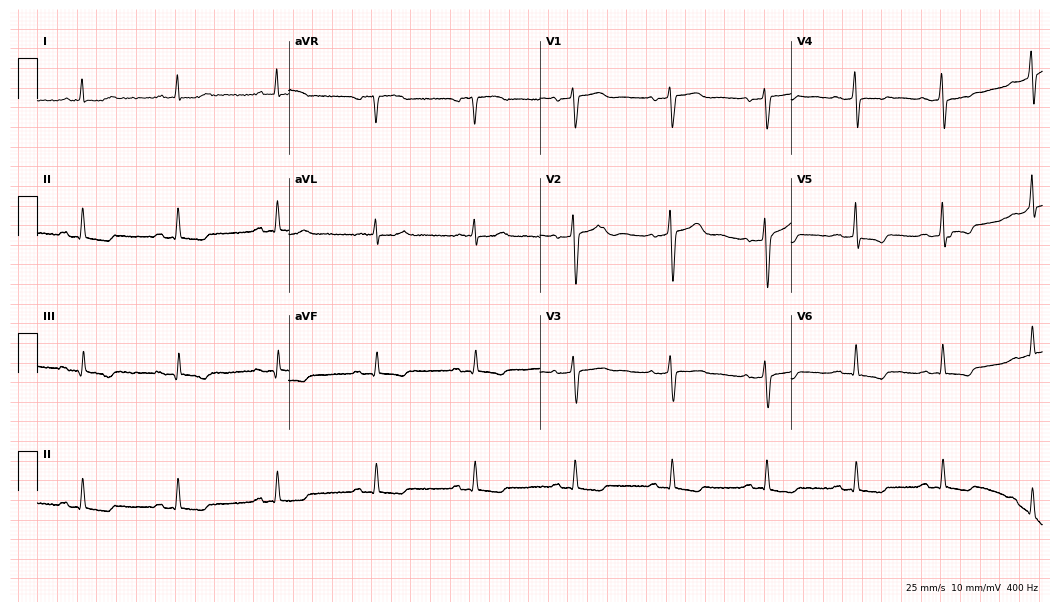
Electrocardiogram, a male, 65 years old. Of the six screened findings (first-degree AV block, right bundle branch block (RBBB), left bundle branch block (LBBB), sinus bradycardia, atrial fibrillation (AF), sinus tachycardia), none is recorded.